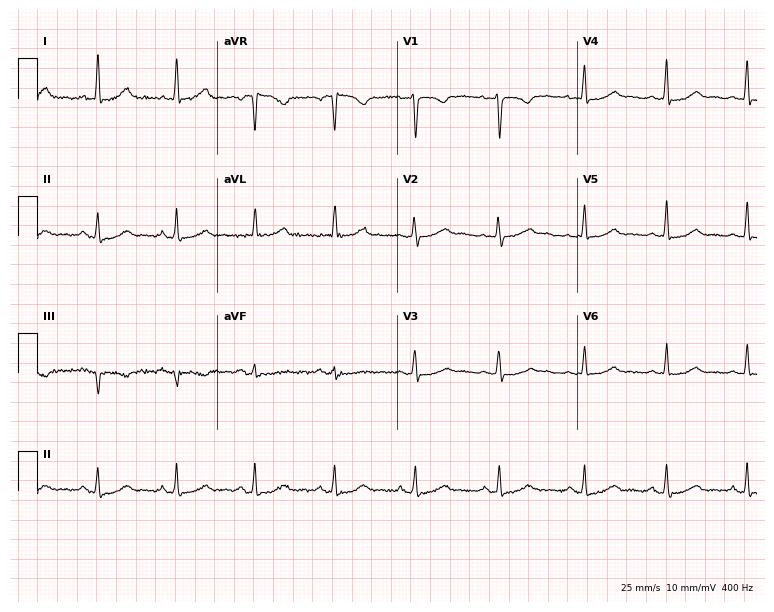
Electrocardiogram, a 45-year-old female patient. Of the six screened findings (first-degree AV block, right bundle branch block (RBBB), left bundle branch block (LBBB), sinus bradycardia, atrial fibrillation (AF), sinus tachycardia), none is recorded.